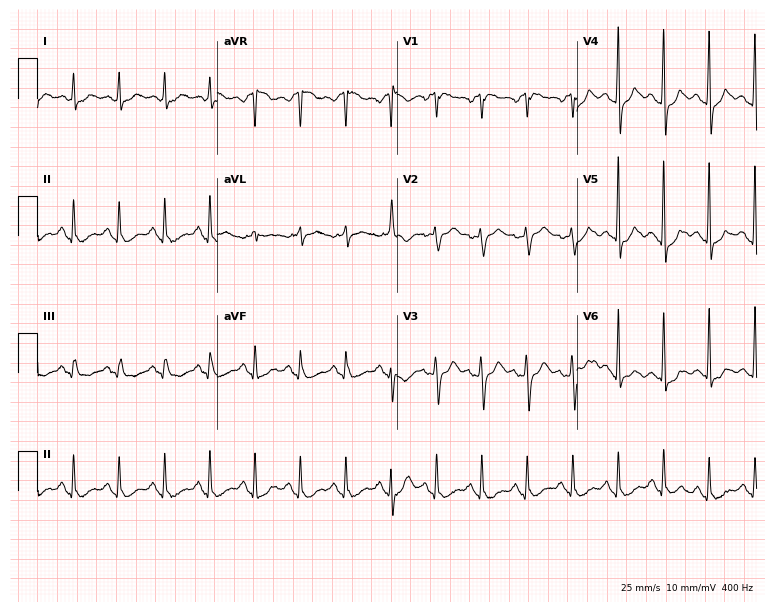
Standard 12-lead ECG recorded from a woman, 72 years old. None of these six findings is recorded: first-degree AV block, right bundle branch block (RBBB), left bundle branch block (LBBB), sinus bradycardia, atrial fibrillation (AF), sinus tachycardia.